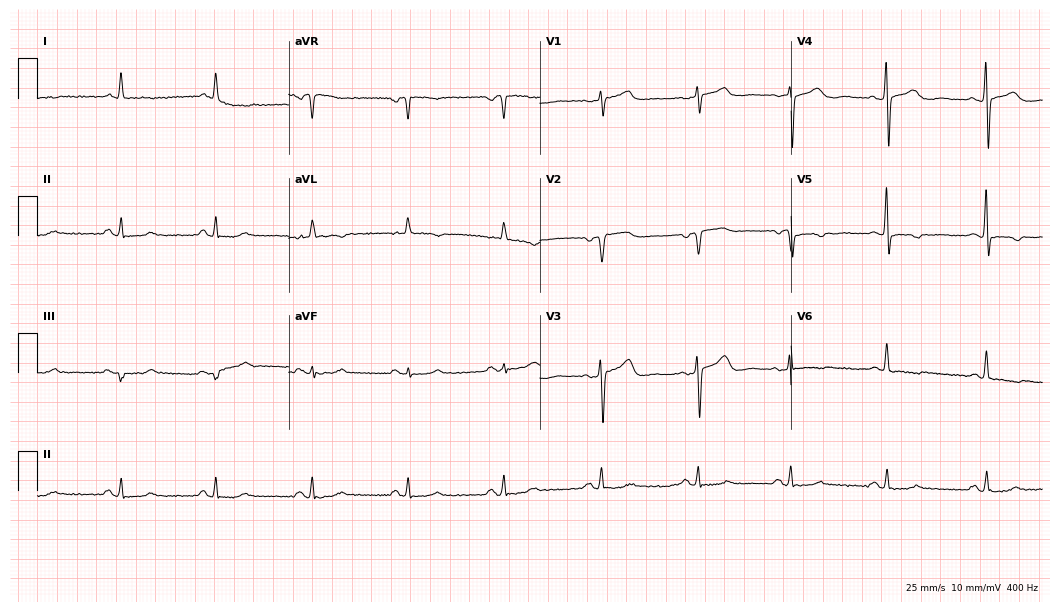
Electrocardiogram, a woman, 69 years old. Of the six screened findings (first-degree AV block, right bundle branch block, left bundle branch block, sinus bradycardia, atrial fibrillation, sinus tachycardia), none is recorded. Only these six findings were labelled.